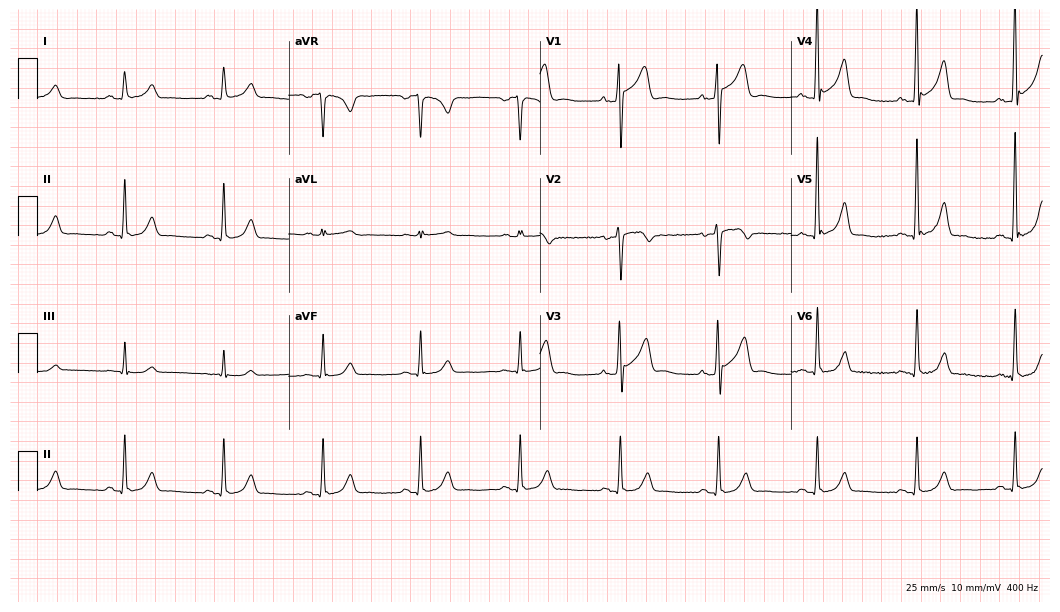
12-lead ECG from a 50-year-old man. Recorded interpretation: within normal limits.